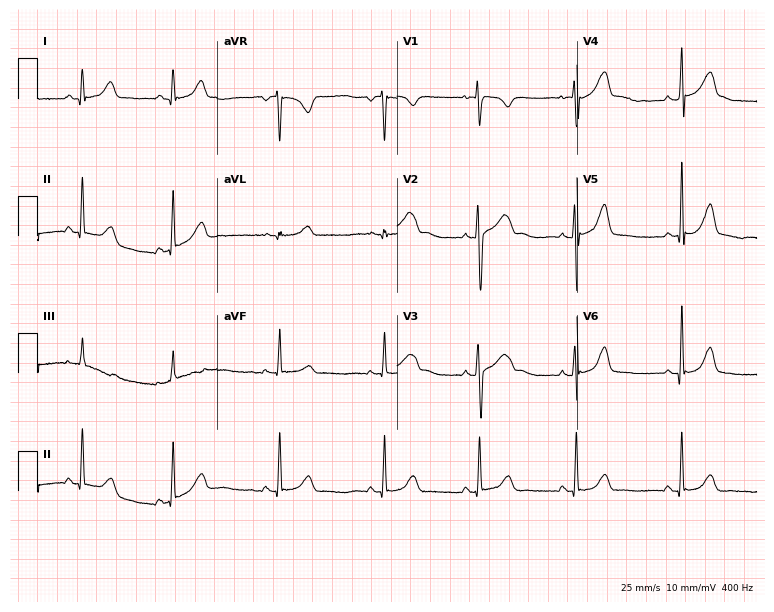
12-lead ECG from a 22-year-old female (7.3-second recording at 400 Hz). No first-degree AV block, right bundle branch block (RBBB), left bundle branch block (LBBB), sinus bradycardia, atrial fibrillation (AF) or sinus tachycardia recorded for this tracing.